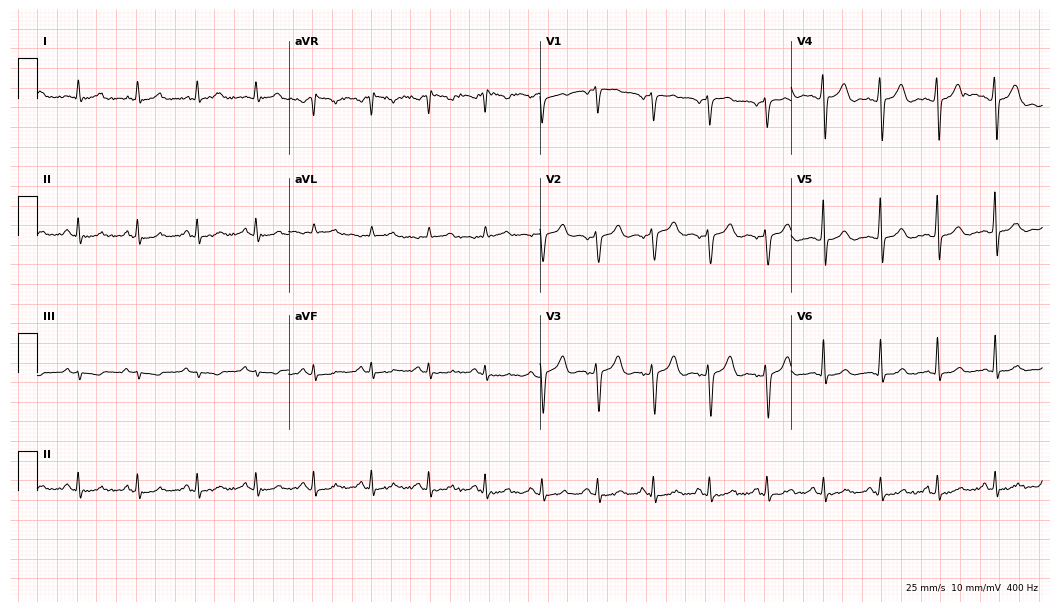
Resting 12-lead electrocardiogram. Patient: a 43-year-old male. The tracing shows sinus tachycardia (a sinus rate of 100 beats per minute or more).